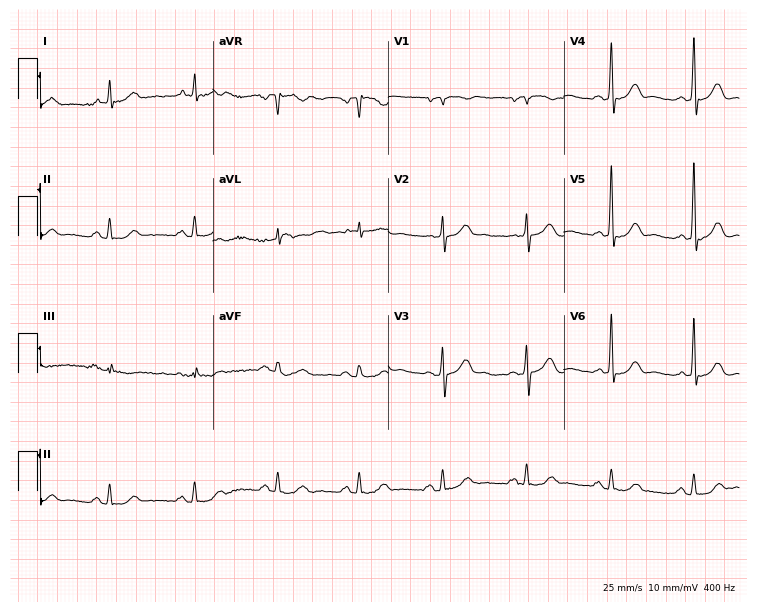
ECG (7.2-second recording at 400 Hz) — a man, 70 years old. Screened for six findings — first-degree AV block, right bundle branch block, left bundle branch block, sinus bradycardia, atrial fibrillation, sinus tachycardia — none is recorded. Only these six findings were labelled.